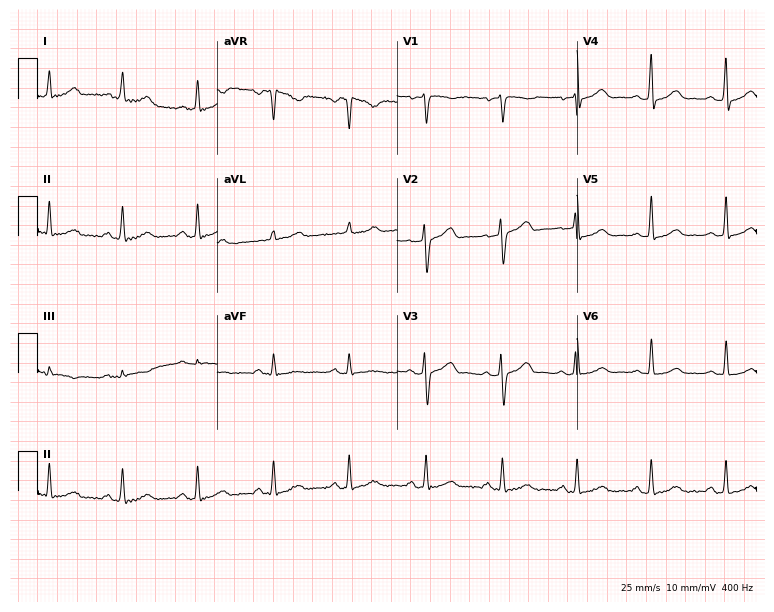
Standard 12-lead ECG recorded from a 58-year-old female. None of these six findings is recorded: first-degree AV block, right bundle branch block, left bundle branch block, sinus bradycardia, atrial fibrillation, sinus tachycardia.